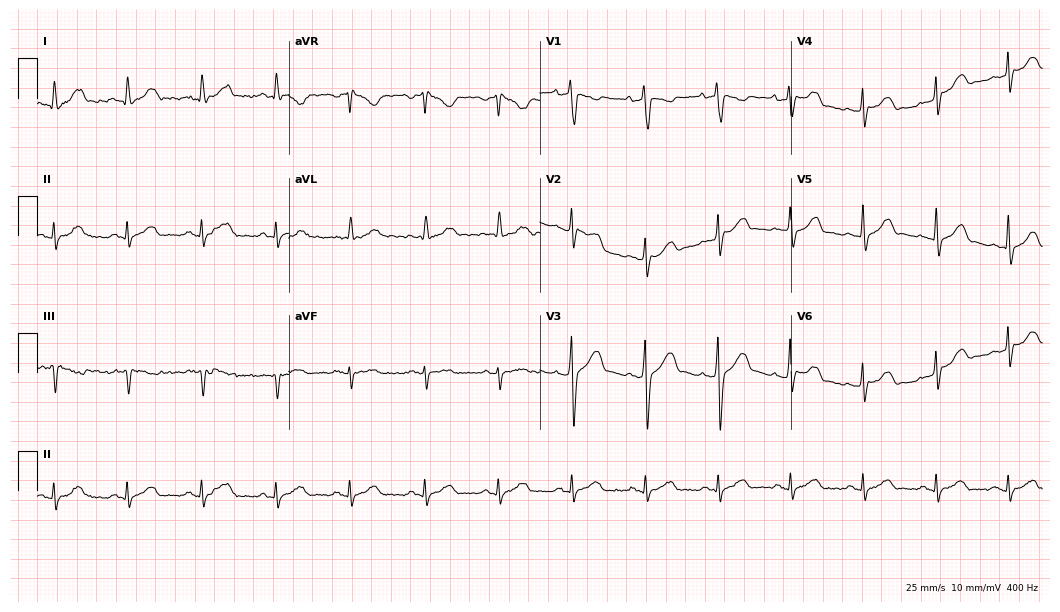
Electrocardiogram, a 38-year-old male patient. Overall reading on record: normal ECG.